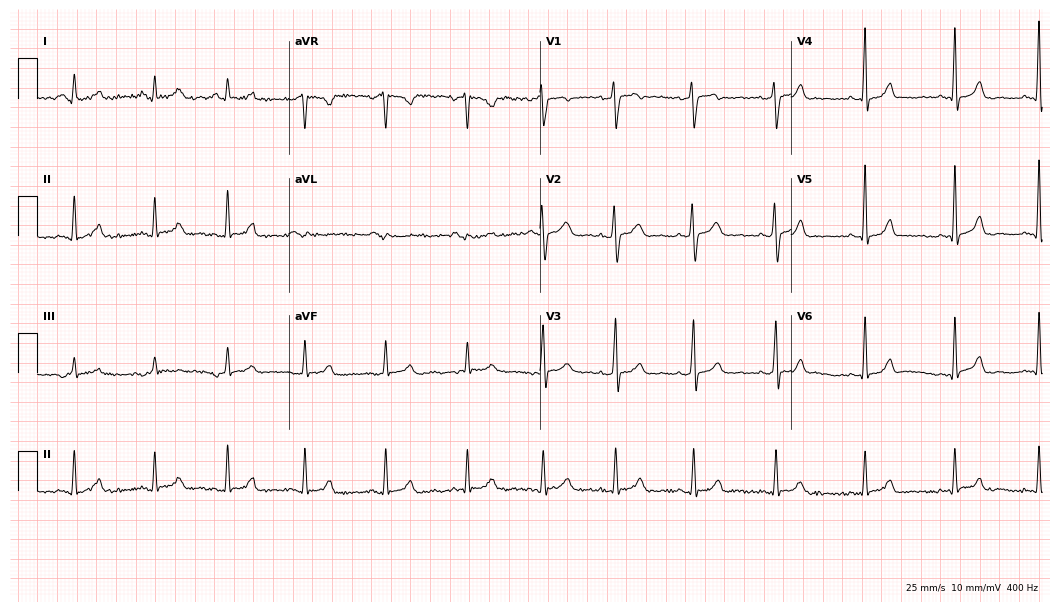
Standard 12-lead ECG recorded from a 38-year-old female (10.2-second recording at 400 Hz). Read as a normal ECG.